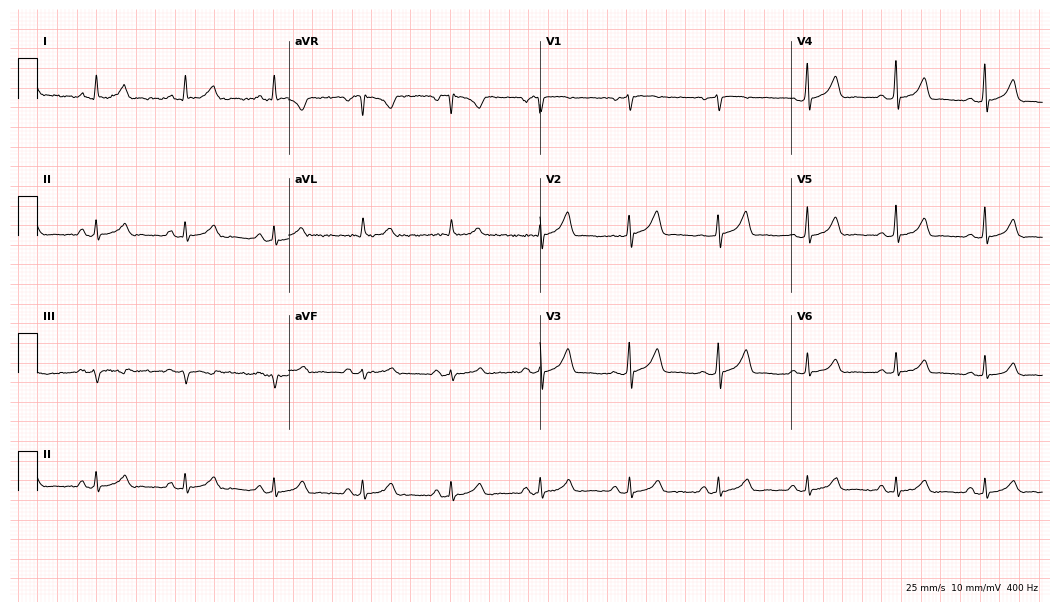
12-lead ECG (10.2-second recording at 400 Hz) from a female patient, 63 years old. Labelled as a normal ECG.